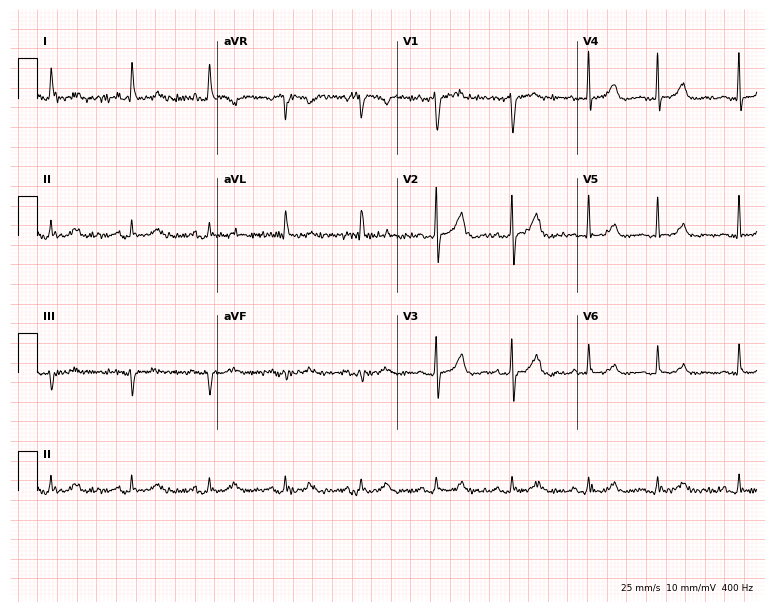
12-lead ECG from a 76-year-old male patient. Labelled as a normal ECG.